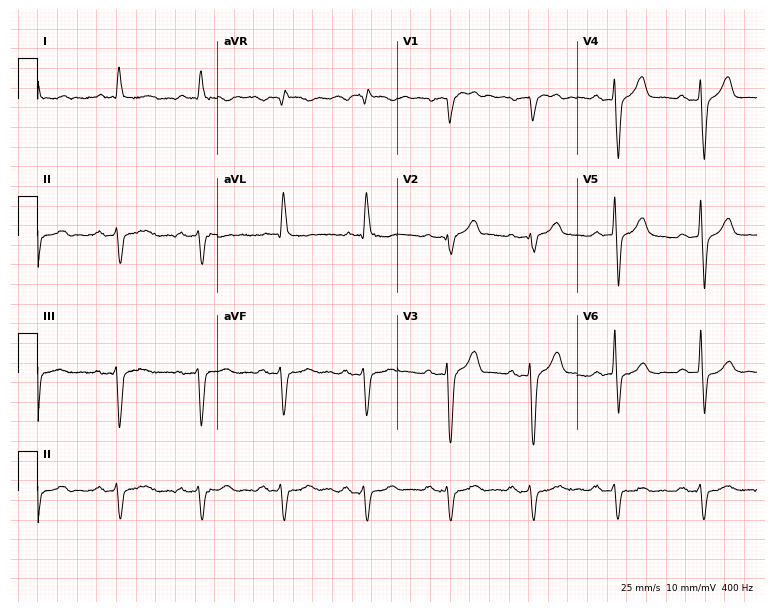
Electrocardiogram, an 81-year-old male patient. Of the six screened findings (first-degree AV block, right bundle branch block, left bundle branch block, sinus bradycardia, atrial fibrillation, sinus tachycardia), none is recorded. Other findings, if any, are not listed.